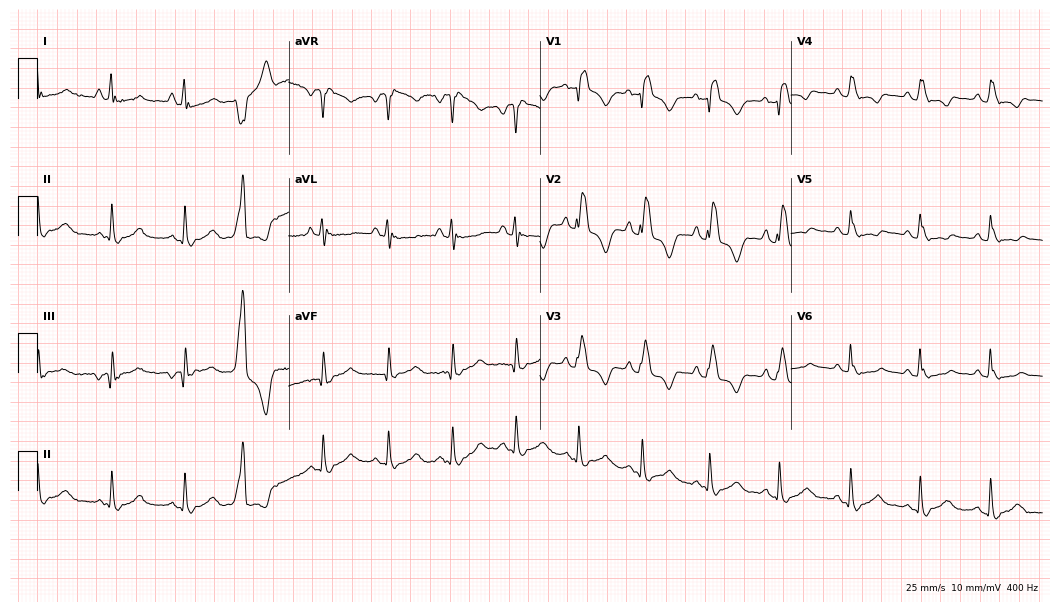
12-lead ECG from a woman, 20 years old. Shows right bundle branch block.